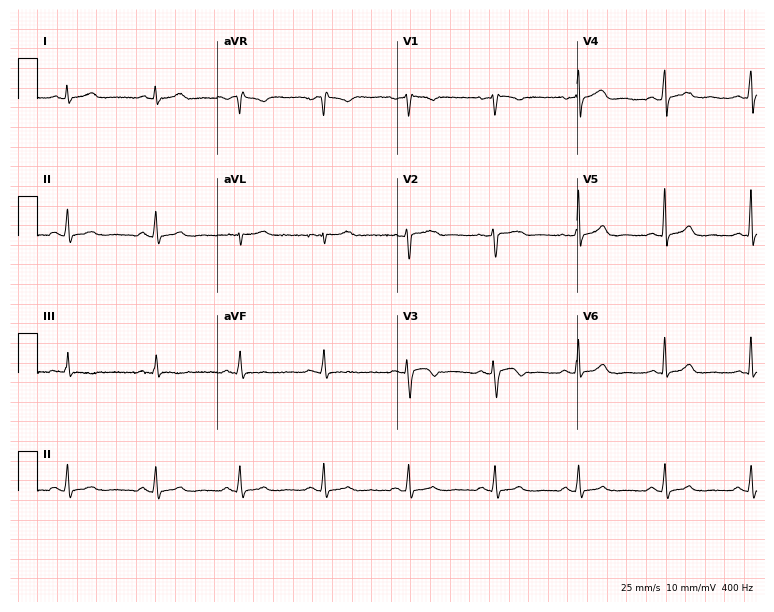
Electrocardiogram, a female, 30 years old. Overall reading on record: normal ECG.